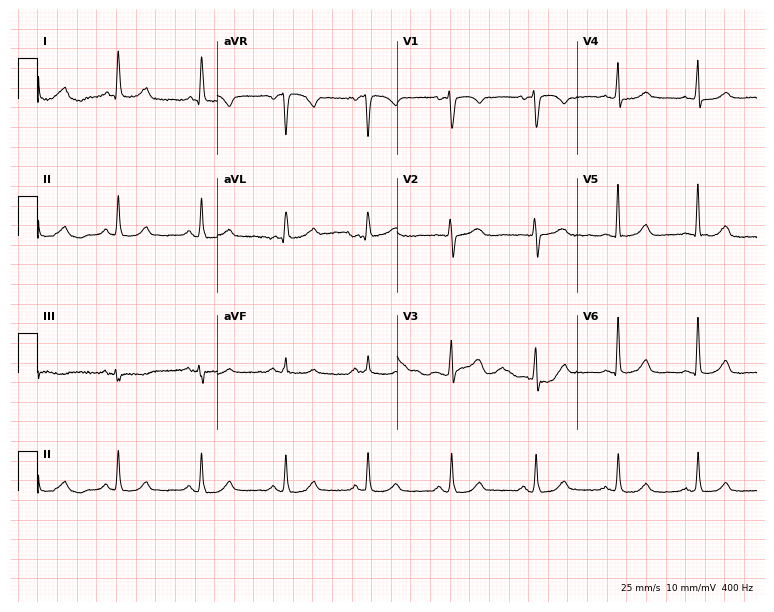
ECG (7.3-second recording at 400 Hz) — a 72-year-old woman. Screened for six findings — first-degree AV block, right bundle branch block (RBBB), left bundle branch block (LBBB), sinus bradycardia, atrial fibrillation (AF), sinus tachycardia — none is recorded.